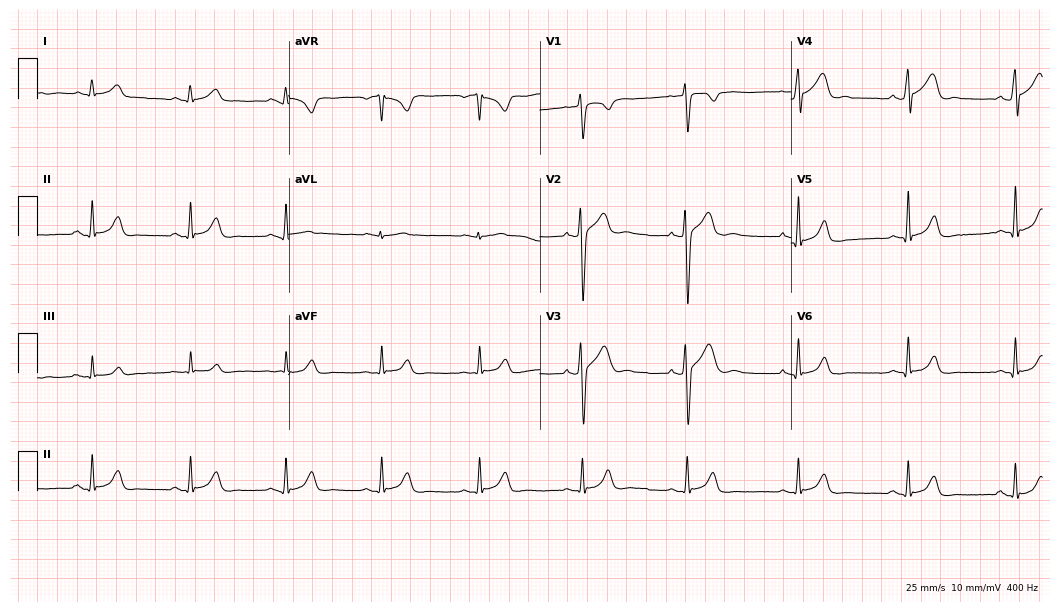
ECG — a man, 39 years old. Screened for six findings — first-degree AV block, right bundle branch block (RBBB), left bundle branch block (LBBB), sinus bradycardia, atrial fibrillation (AF), sinus tachycardia — none is recorded.